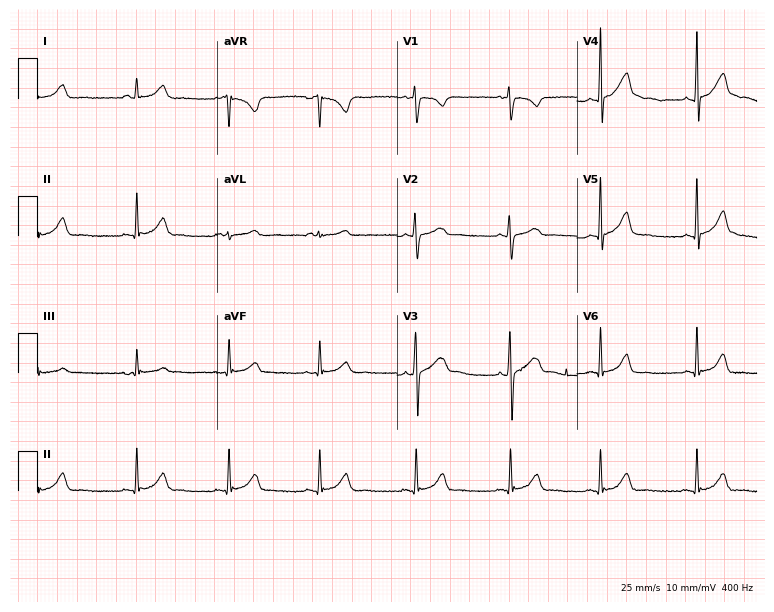
Standard 12-lead ECG recorded from a woman, 24 years old. Read as a normal ECG.